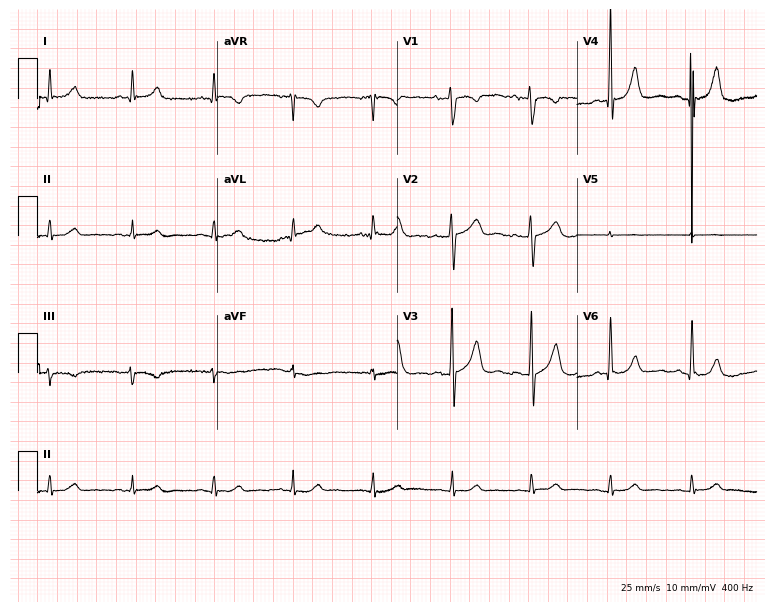
Standard 12-lead ECG recorded from a male patient, 64 years old (7.3-second recording at 400 Hz). Read as a normal ECG.